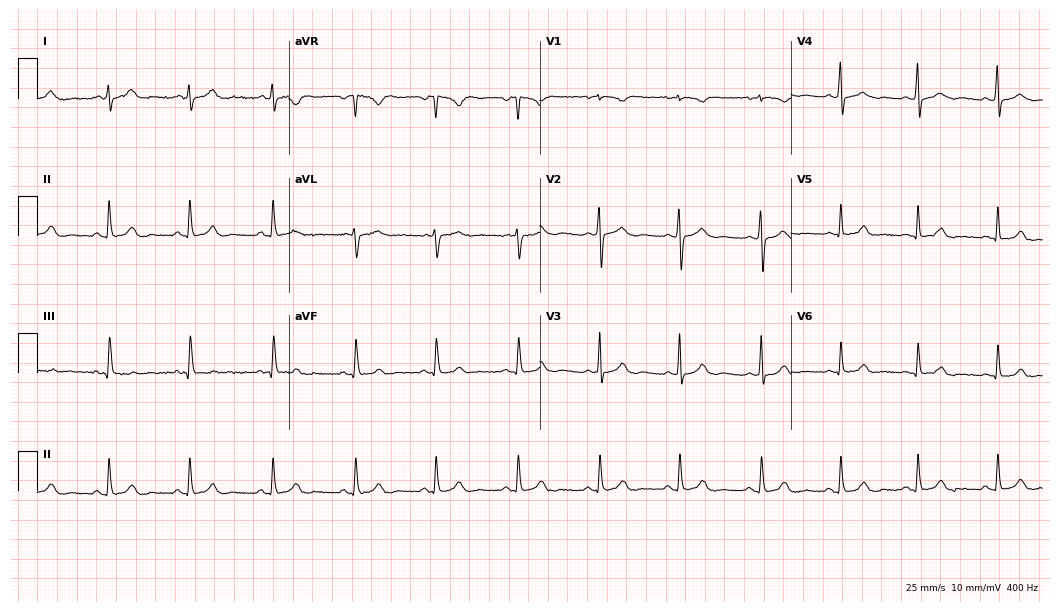
12-lead ECG (10.2-second recording at 400 Hz) from a female, 23 years old. Labelled as a normal ECG.